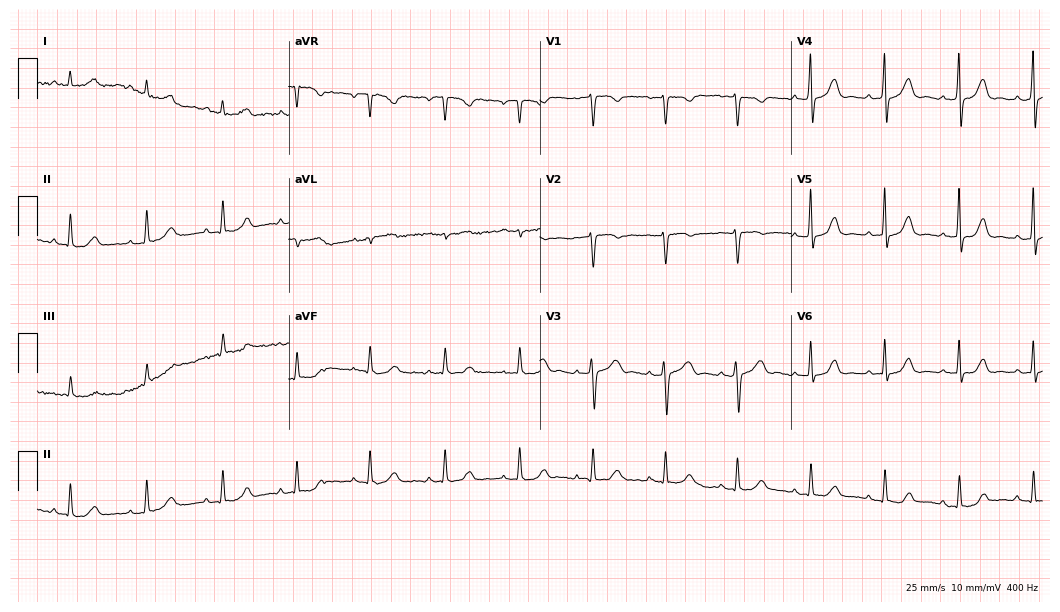
Standard 12-lead ECG recorded from a female patient, 41 years old. Read as a normal ECG.